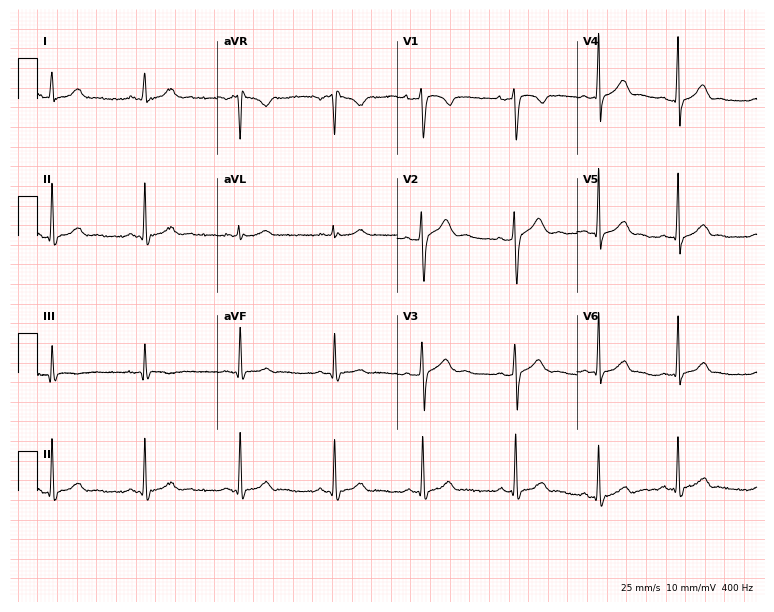
Electrocardiogram, a woman, 20 years old. Overall reading on record: normal ECG.